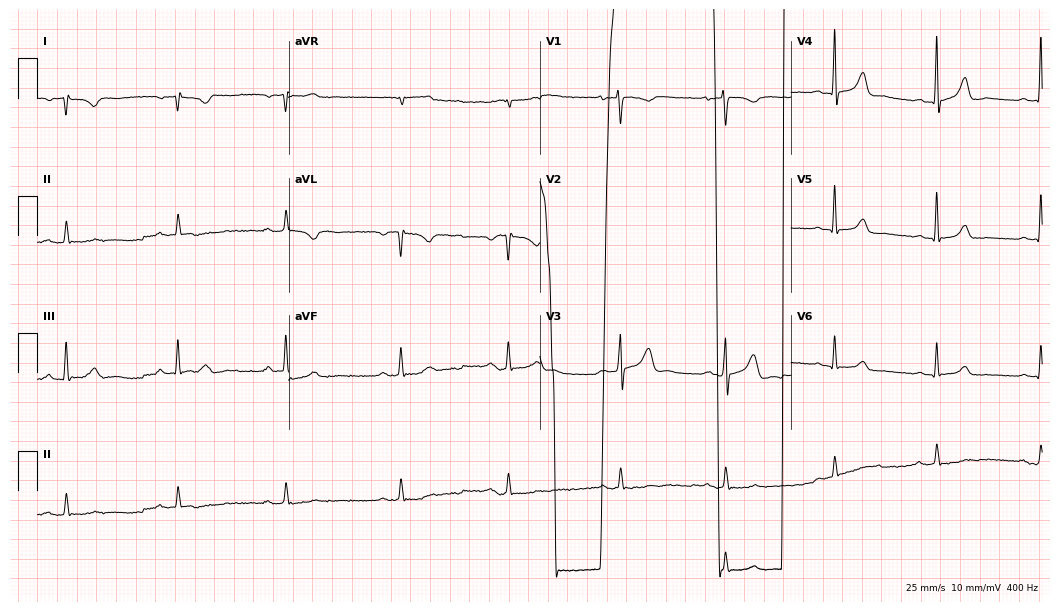
ECG — a man, 28 years old. Labelled as a normal ECG.